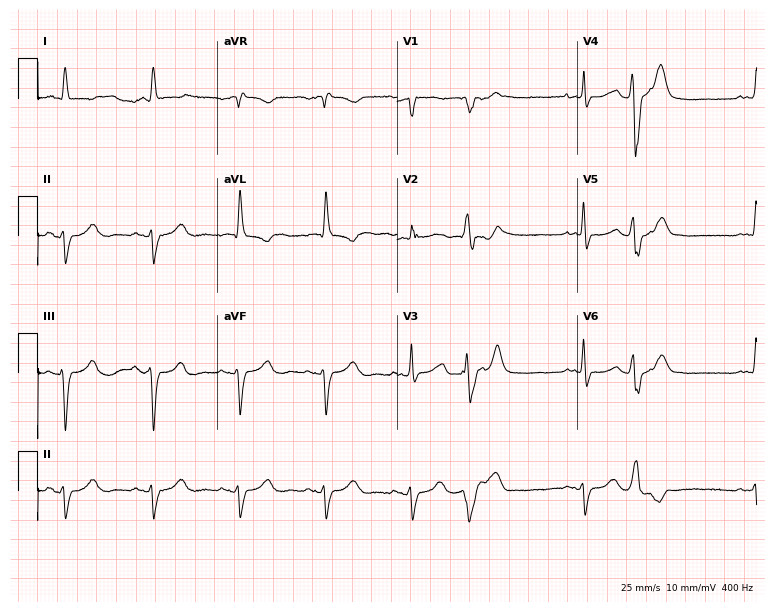
Electrocardiogram (7.3-second recording at 400 Hz), an 83-year-old man. Of the six screened findings (first-degree AV block, right bundle branch block, left bundle branch block, sinus bradycardia, atrial fibrillation, sinus tachycardia), none is recorded.